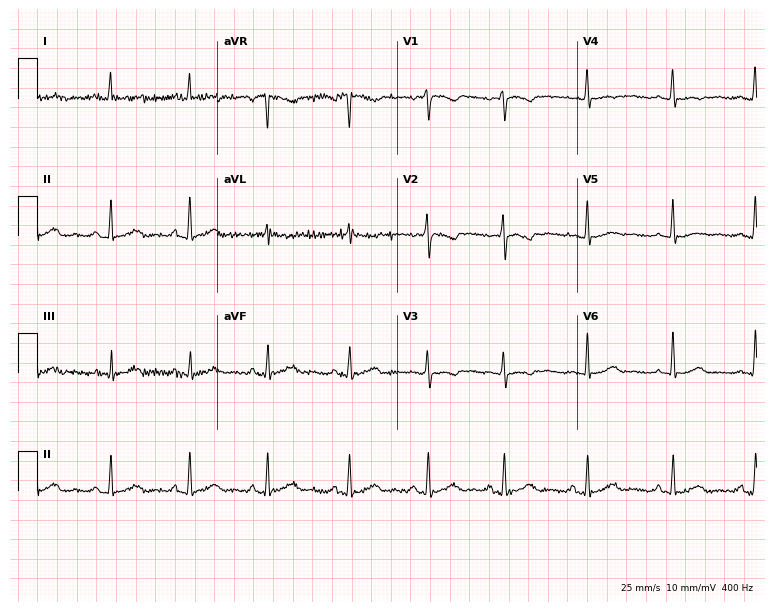
Electrocardiogram (7.3-second recording at 400 Hz), a 29-year-old woman. Overall reading on record: normal ECG.